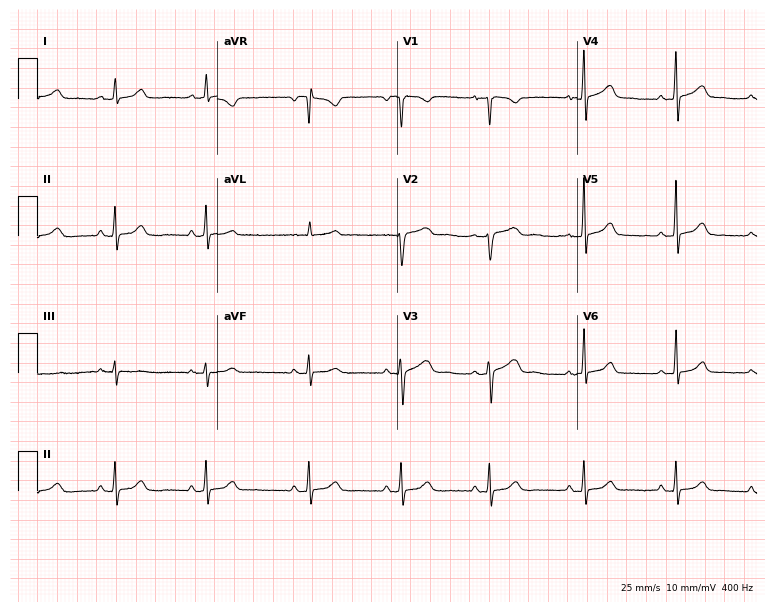
12-lead ECG (7.3-second recording at 400 Hz) from a woman, 36 years old. Screened for six findings — first-degree AV block, right bundle branch block, left bundle branch block, sinus bradycardia, atrial fibrillation, sinus tachycardia — none is recorded. Only these six findings were labelled.